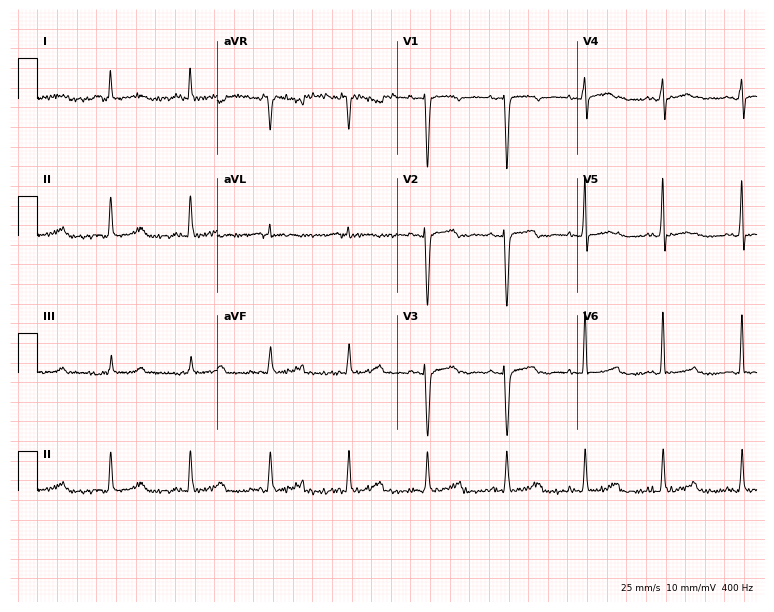
Electrocardiogram (7.3-second recording at 400 Hz), a 48-year-old female patient. Overall reading on record: normal ECG.